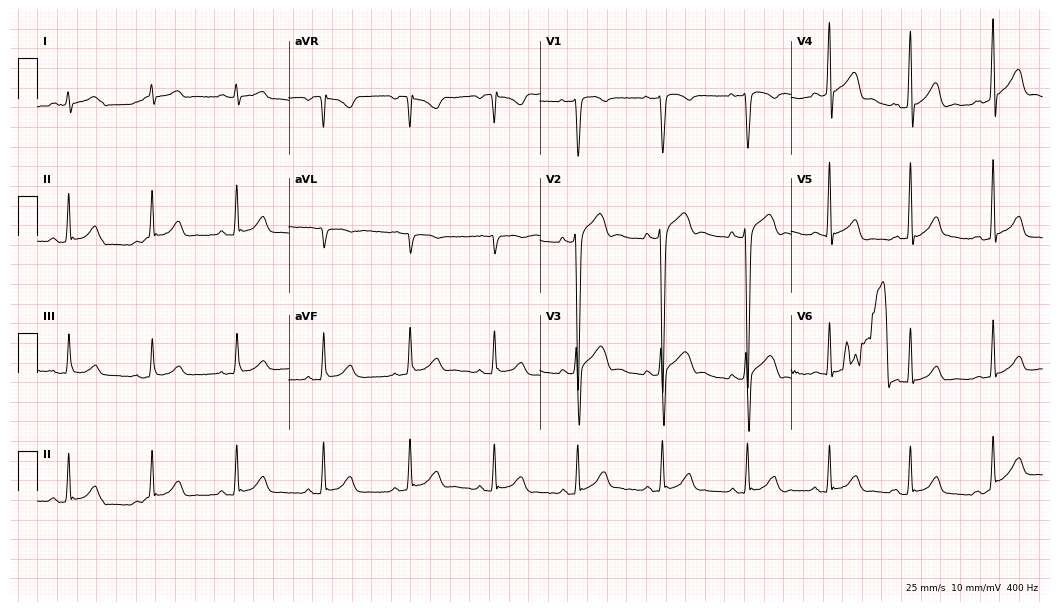
12-lead ECG from a 35-year-old male. No first-degree AV block, right bundle branch block (RBBB), left bundle branch block (LBBB), sinus bradycardia, atrial fibrillation (AF) or sinus tachycardia recorded for this tracing. Other findings, if any, are not listed.